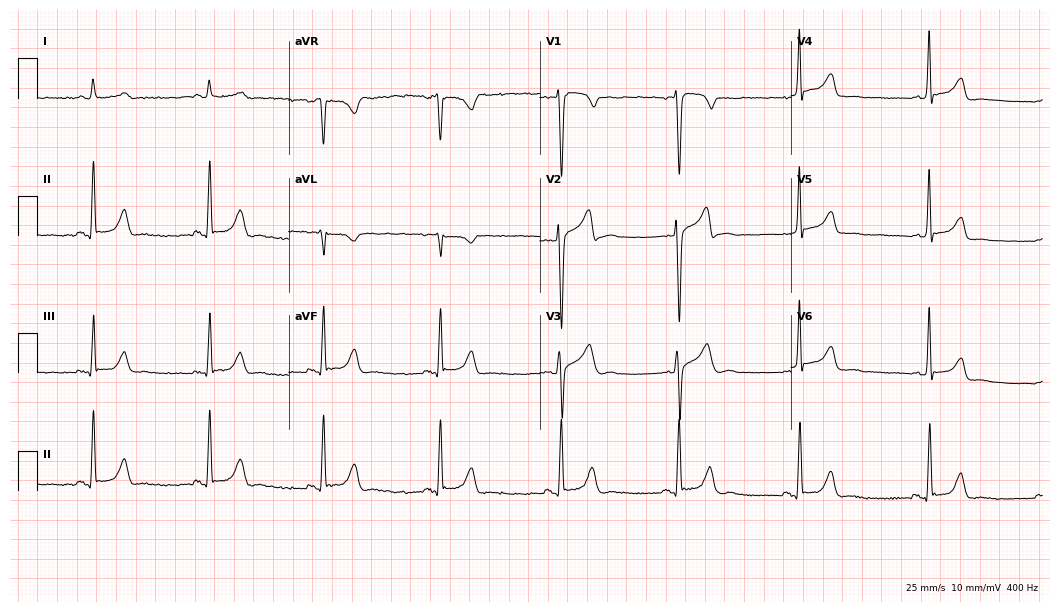
12-lead ECG from a 51-year-old male (10.2-second recording at 400 Hz). No first-degree AV block, right bundle branch block (RBBB), left bundle branch block (LBBB), sinus bradycardia, atrial fibrillation (AF) or sinus tachycardia recorded for this tracing.